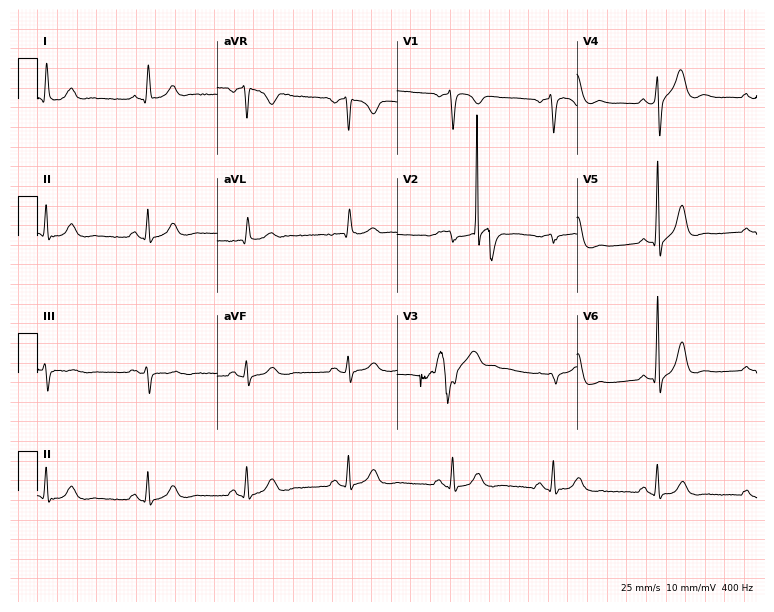
Standard 12-lead ECG recorded from a male patient, 49 years old. None of these six findings is recorded: first-degree AV block, right bundle branch block (RBBB), left bundle branch block (LBBB), sinus bradycardia, atrial fibrillation (AF), sinus tachycardia.